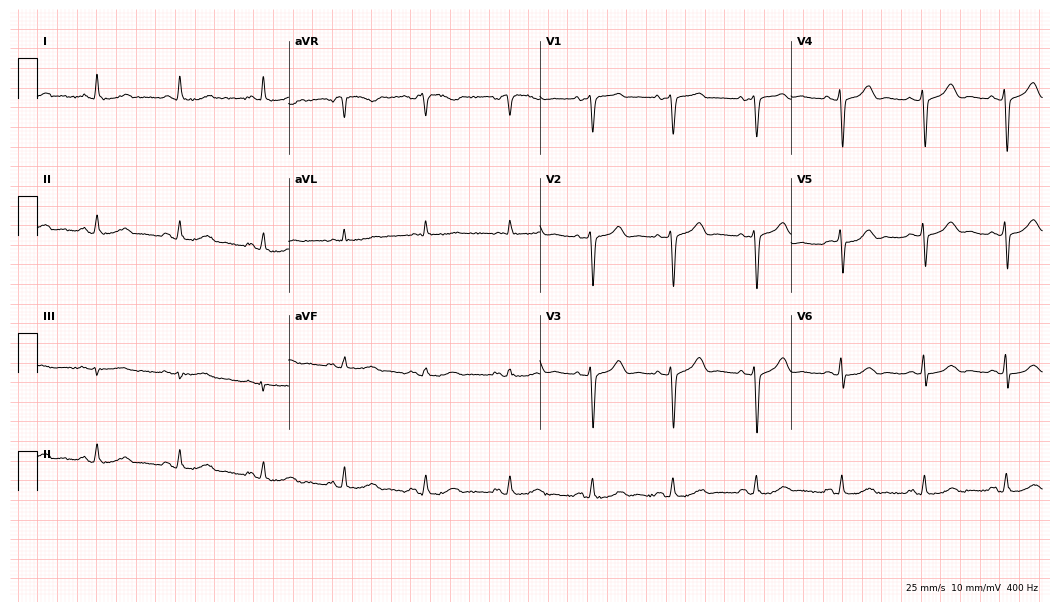
Resting 12-lead electrocardiogram (10.2-second recording at 400 Hz). Patient: a 79-year-old female. Read as a normal ECG.